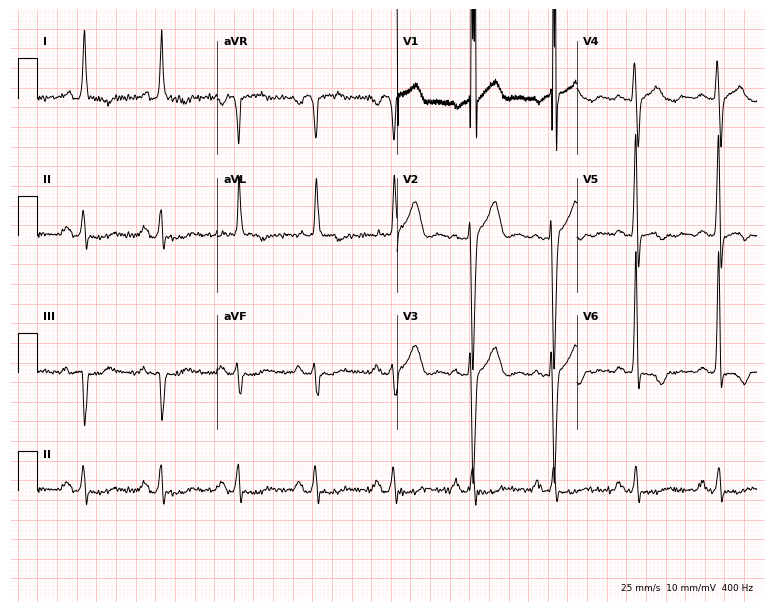
Electrocardiogram, a 56-year-old male patient. Of the six screened findings (first-degree AV block, right bundle branch block, left bundle branch block, sinus bradycardia, atrial fibrillation, sinus tachycardia), none is recorded. Findings outside these six are not listed.